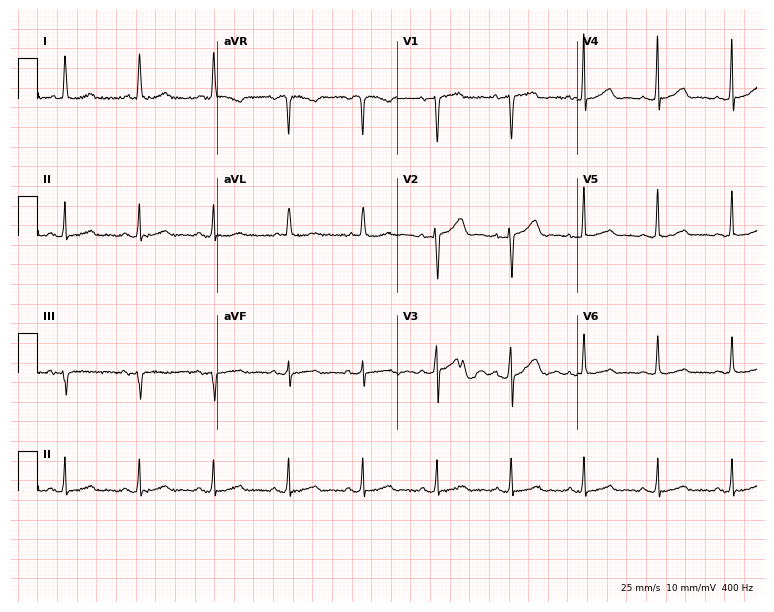
12-lead ECG from a 72-year-old female. Recorded interpretation: within normal limits.